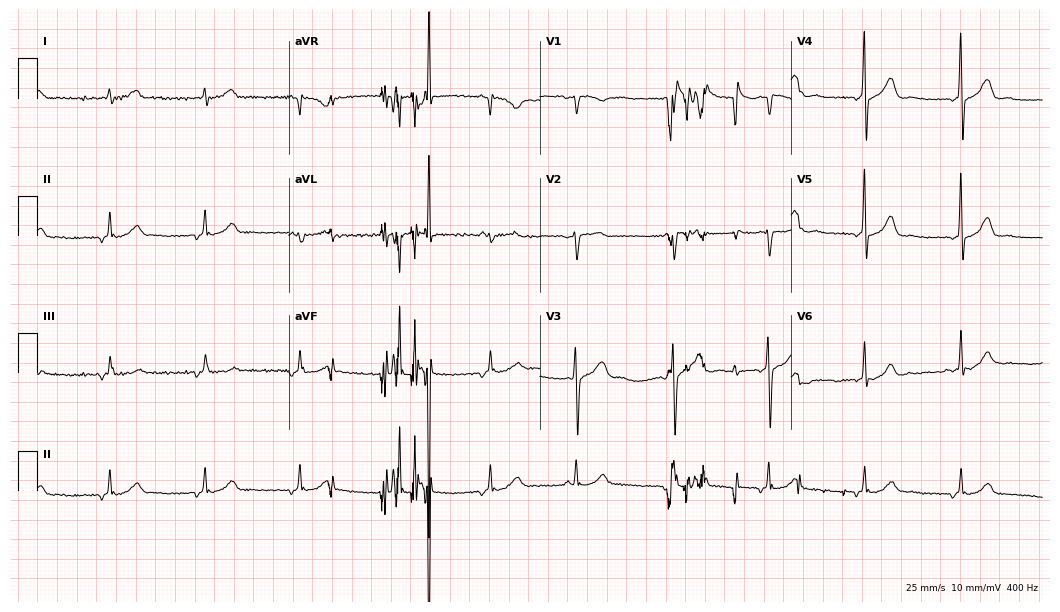
Resting 12-lead electrocardiogram (10.2-second recording at 400 Hz). Patient: a male, 70 years old. Read as a normal ECG.